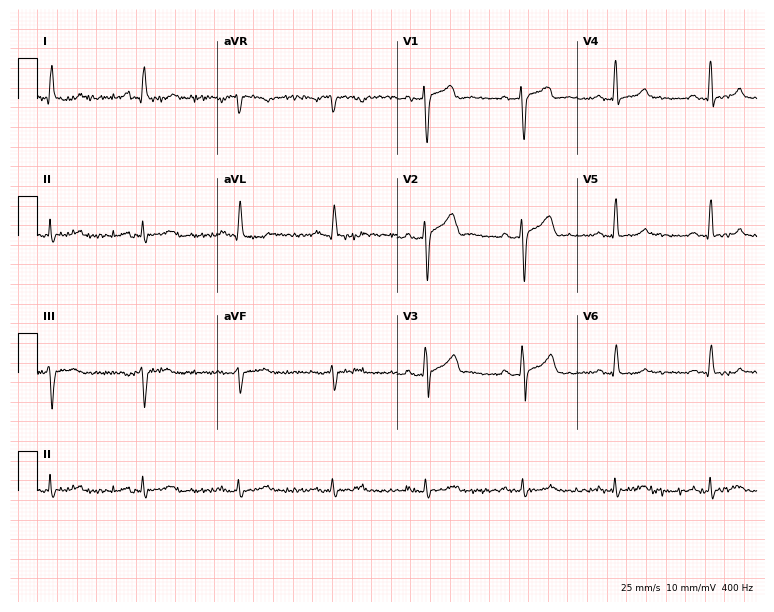
ECG — a man, 62 years old. Labelled as a normal ECG.